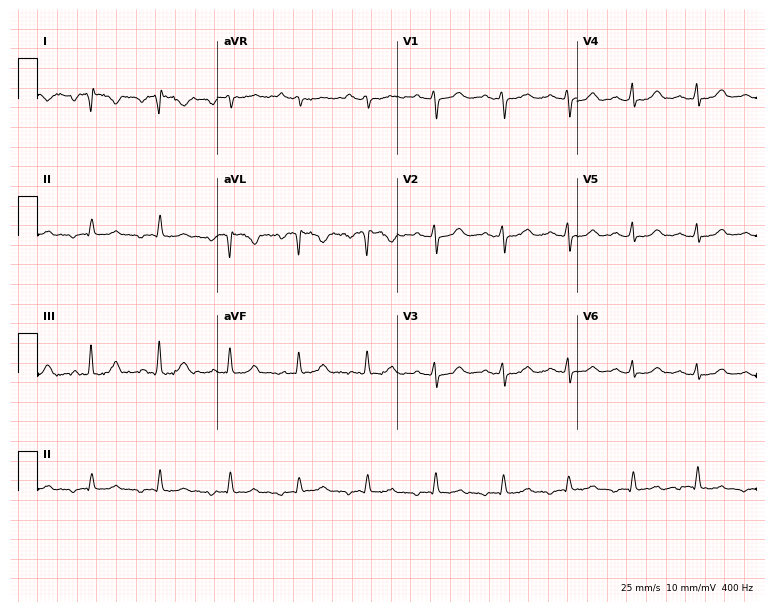
12-lead ECG from a female patient, 43 years old (7.3-second recording at 400 Hz). No first-degree AV block, right bundle branch block, left bundle branch block, sinus bradycardia, atrial fibrillation or sinus tachycardia recorded for this tracing. Only these six findings were labelled.